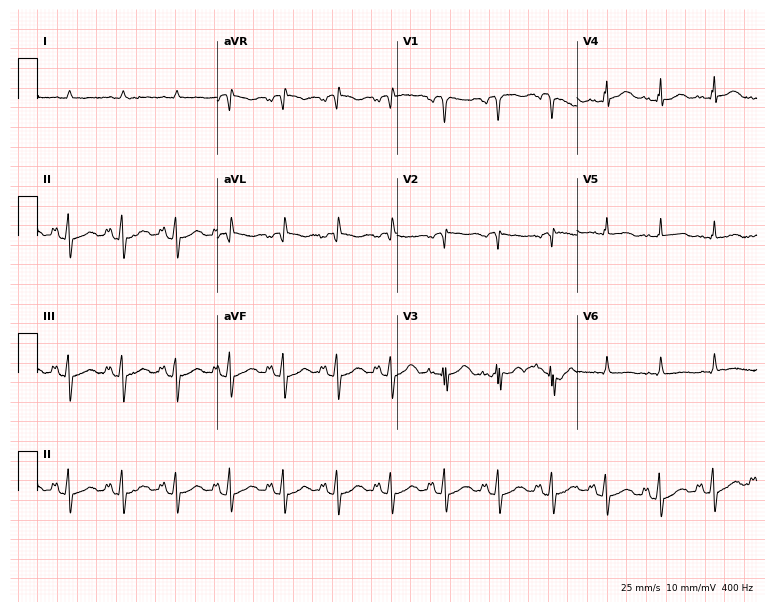
Standard 12-lead ECG recorded from a man, 84 years old. The tracing shows sinus tachycardia (a sinus rate of 100 beats per minute or more).